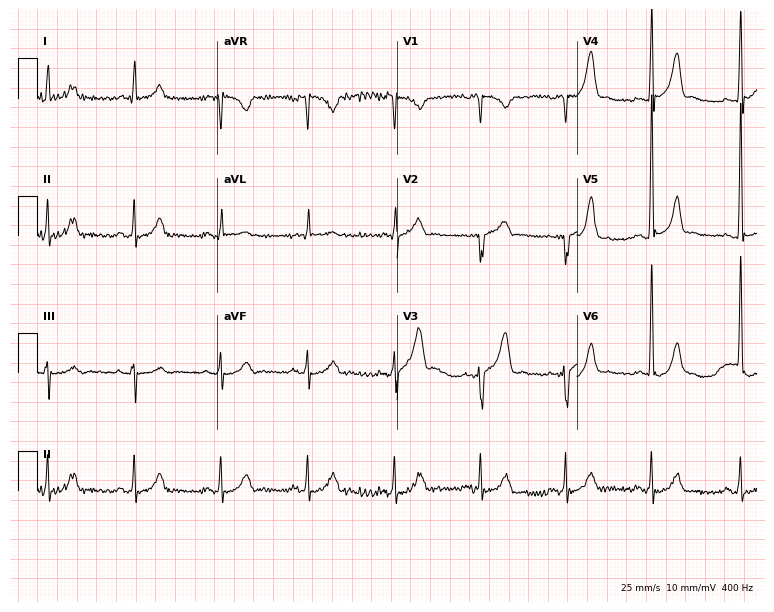
ECG — a 44-year-old male. Labelled as a normal ECG.